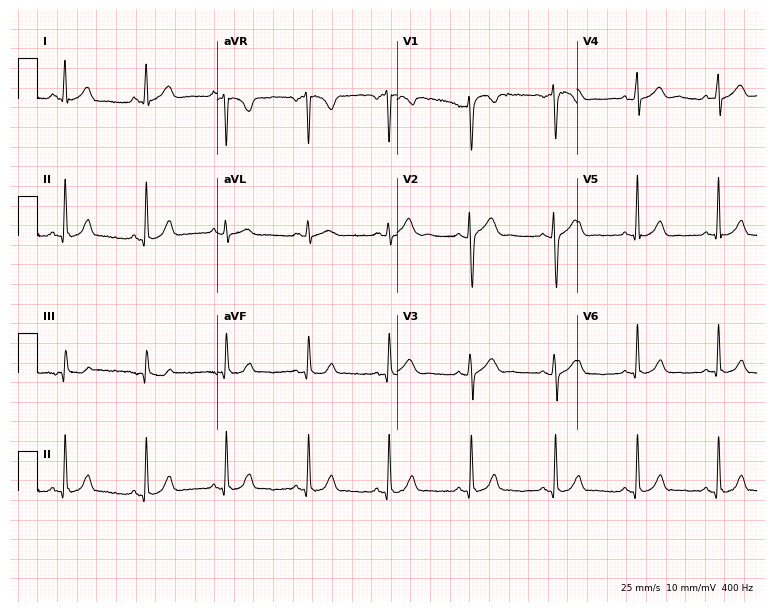
12-lead ECG from a 34-year-old male patient (7.3-second recording at 400 Hz). Recorded interpretation: within normal limits.